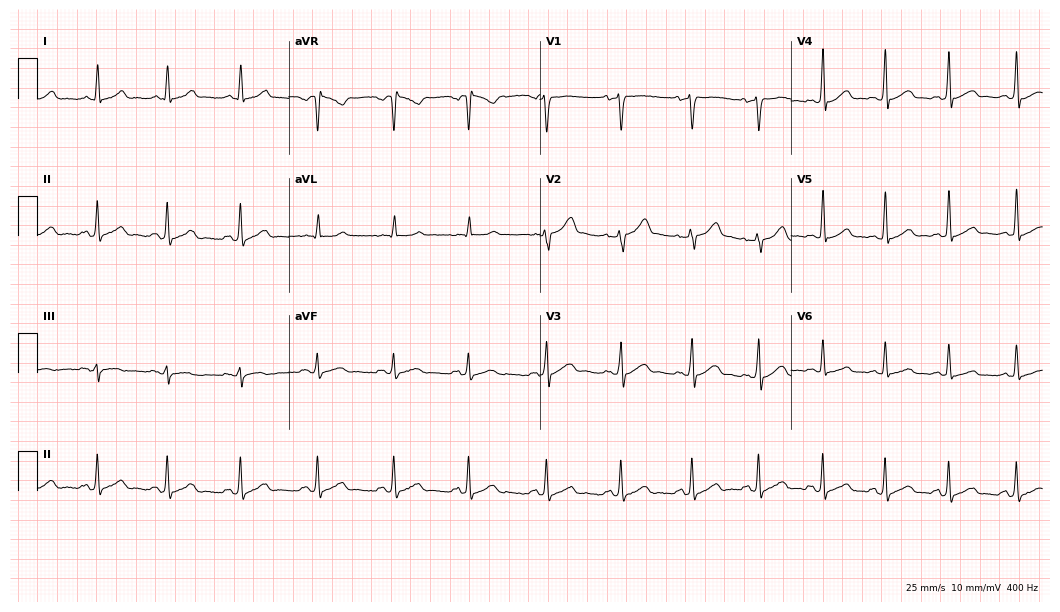
Electrocardiogram (10.2-second recording at 400 Hz), a 38-year-old male patient. Of the six screened findings (first-degree AV block, right bundle branch block, left bundle branch block, sinus bradycardia, atrial fibrillation, sinus tachycardia), none is recorded. Findings outside these six are not listed.